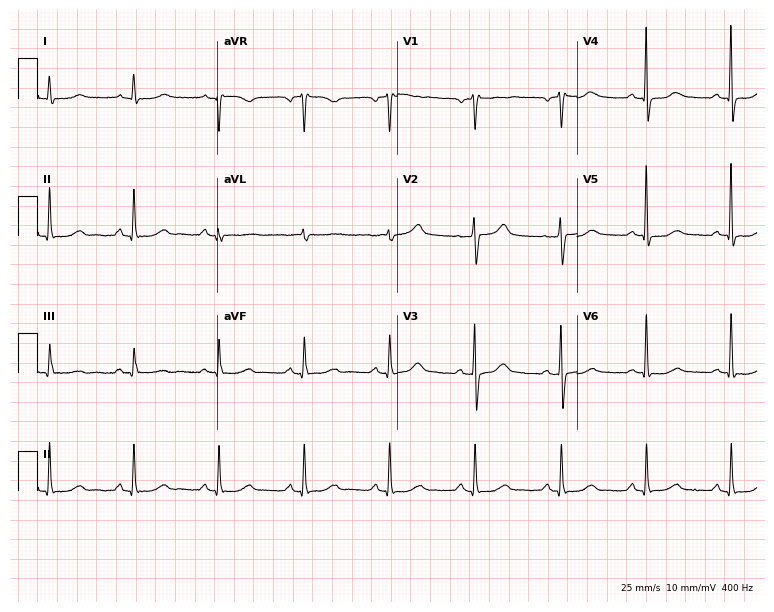
12-lead ECG from a male patient, 69 years old. Labelled as a normal ECG.